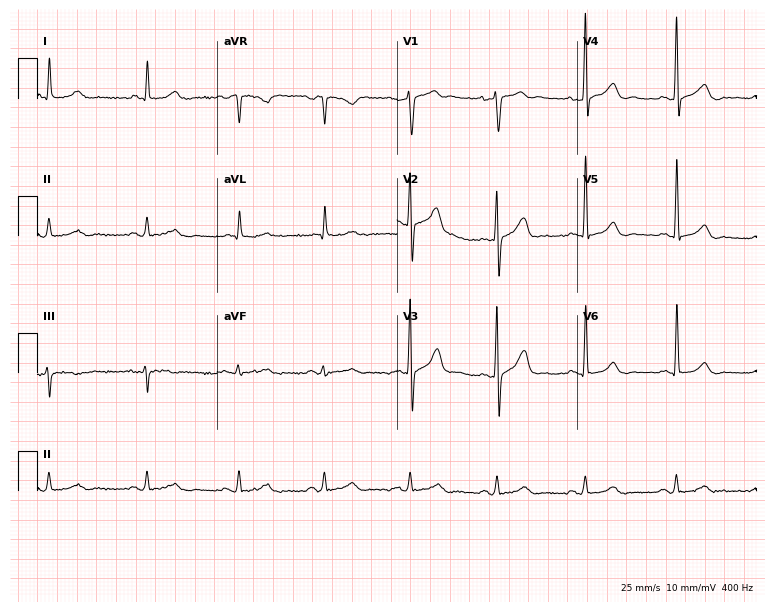
Electrocardiogram, a 75-year-old male patient. Of the six screened findings (first-degree AV block, right bundle branch block (RBBB), left bundle branch block (LBBB), sinus bradycardia, atrial fibrillation (AF), sinus tachycardia), none is recorded.